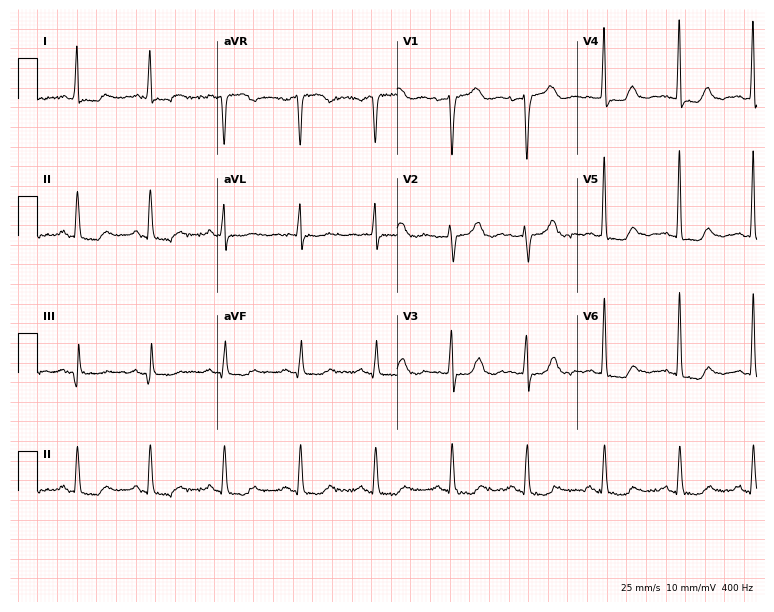
Standard 12-lead ECG recorded from a 63-year-old female patient (7.3-second recording at 400 Hz). None of these six findings is recorded: first-degree AV block, right bundle branch block (RBBB), left bundle branch block (LBBB), sinus bradycardia, atrial fibrillation (AF), sinus tachycardia.